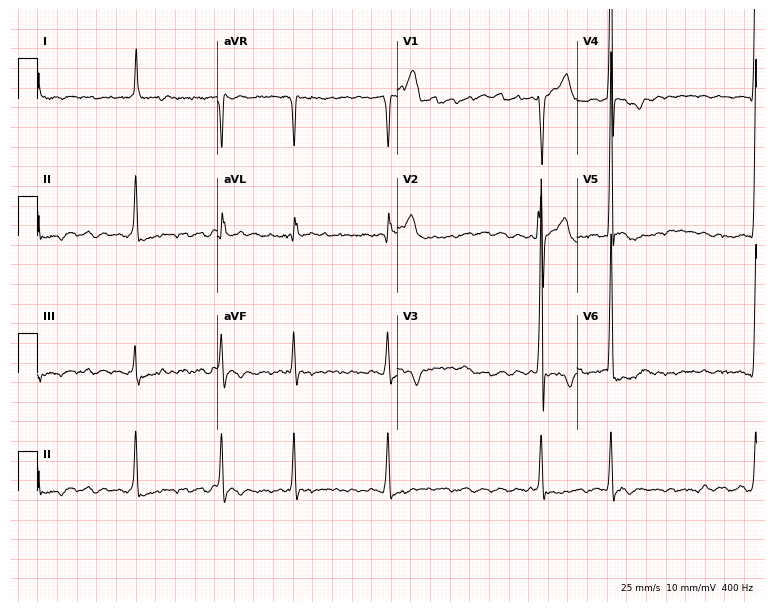
ECG — a male patient, 72 years old. Findings include atrial fibrillation.